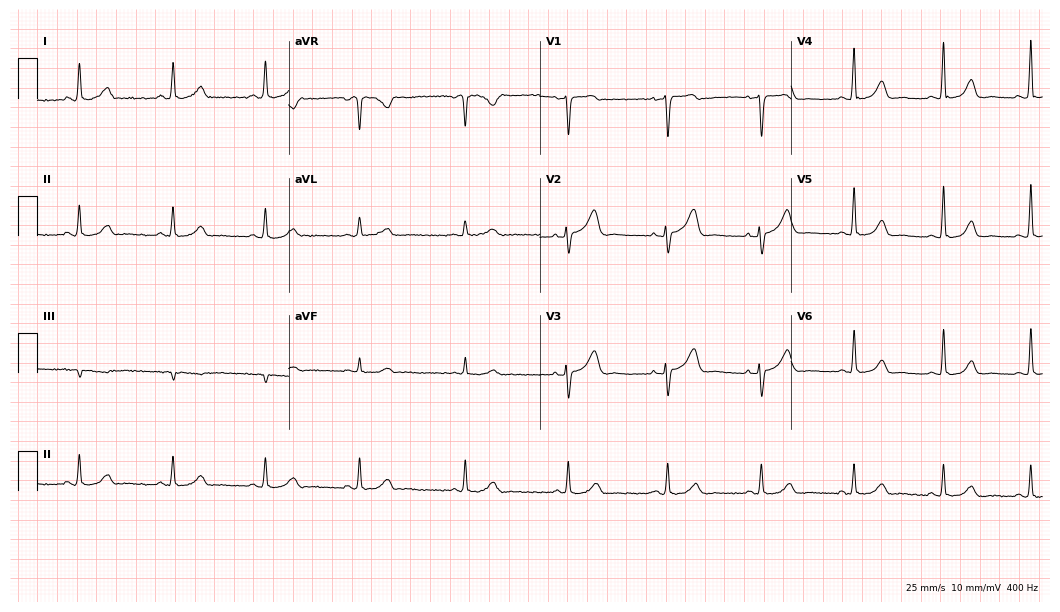
Standard 12-lead ECG recorded from a female patient, 56 years old (10.2-second recording at 400 Hz). Read as a normal ECG.